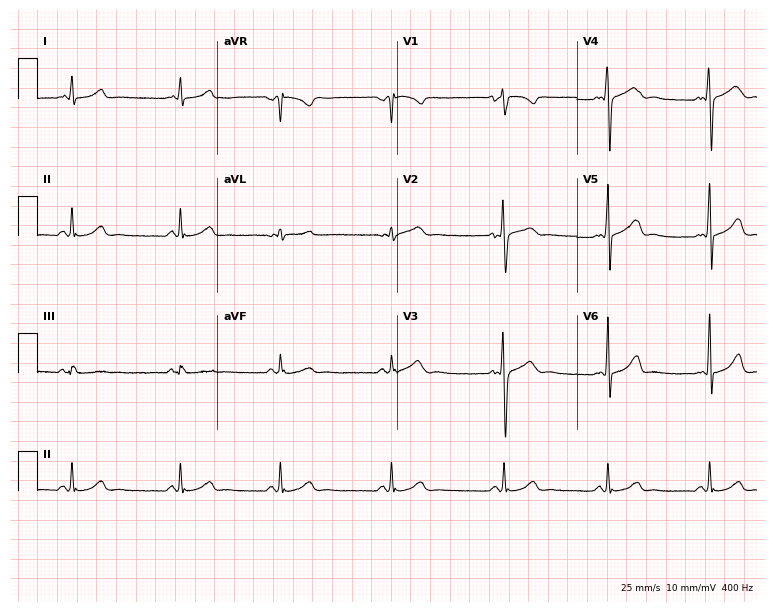
Electrocardiogram, a 27-year-old female patient. Overall reading on record: normal ECG.